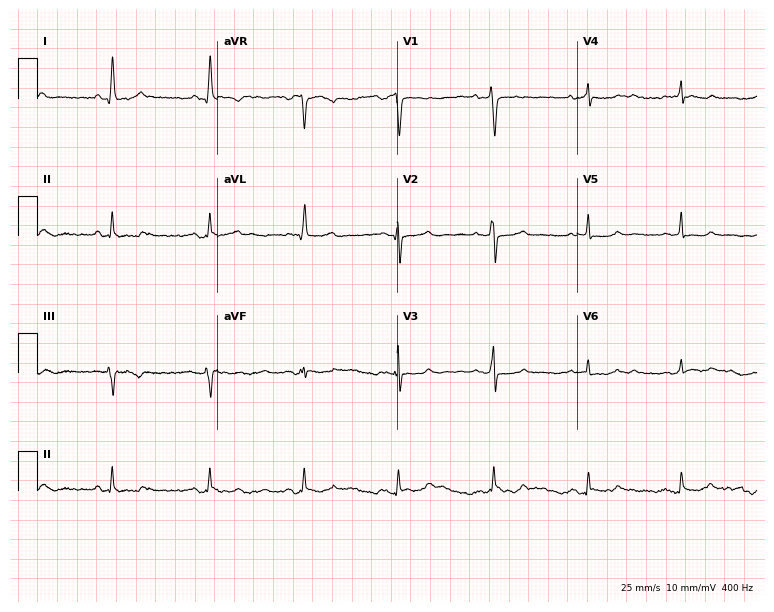
Standard 12-lead ECG recorded from a female, 69 years old (7.3-second recording at 400 Hz). Read as a normal ECG.